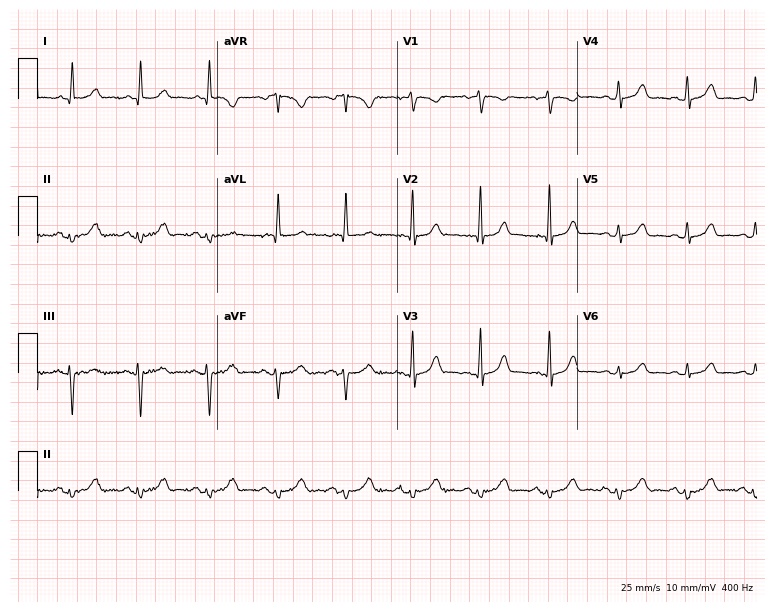
Electrocardiogram, a 64-year-old woman. Of the six screened findings (first-degree AV block, right bundle branch block, left bundle branch block, sinus bradycardia, atrial fibrillation, sinus tachycardia), none is recorded. Findings outside these six are not listed.